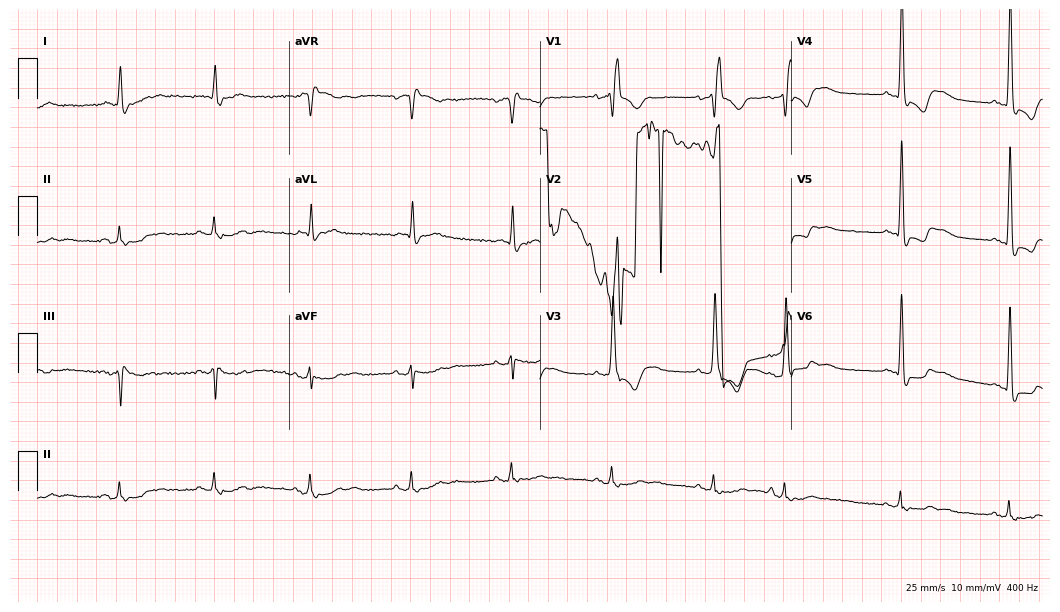
Standard 12-lead ECG recorded from an 82-year-old male patient. The tracing shows right bundle branch block (RBBB).